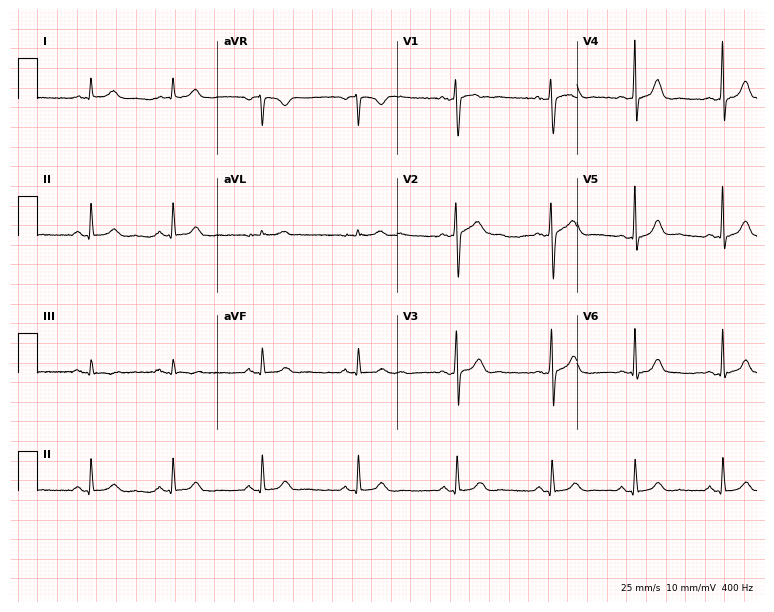
Electrocardiogram (7.3-second recording at 400 Hz), an 18-year-old female. Overall reading on record: normal ECG.